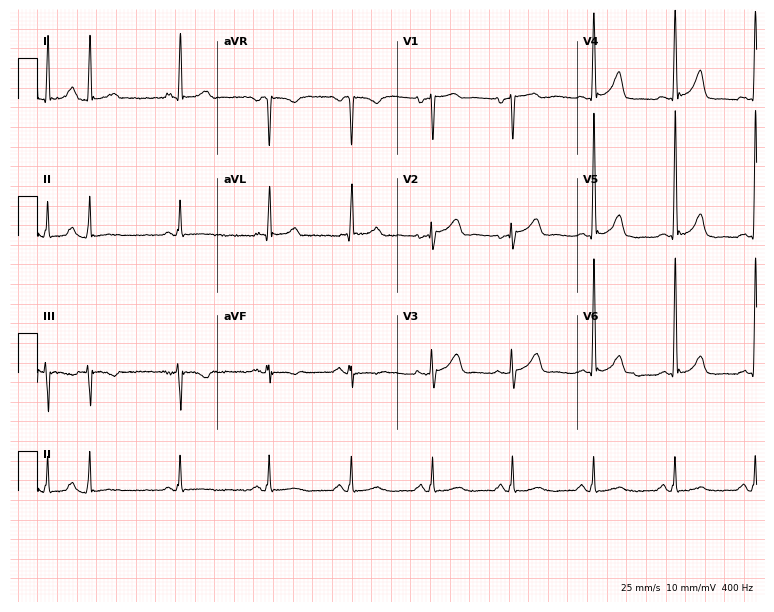
Electrocardiogram, a female patient, 72 years old. Overall reading on record: normal ECG.